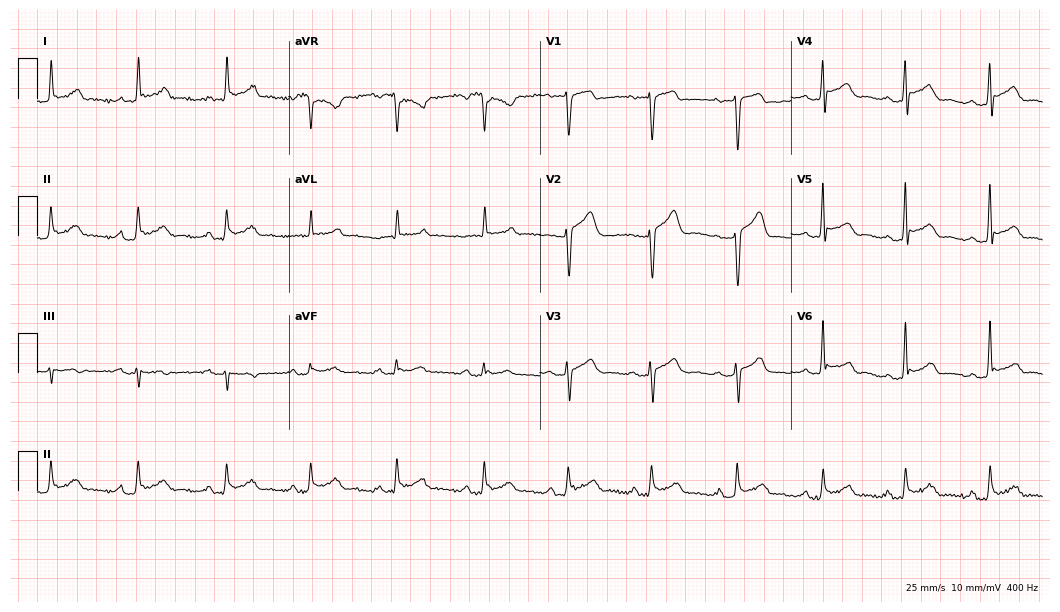
12-lead ECG from a 66-year-old woman (10.2-second recording at 400 Hz). No first-degree AV block, right bundle branch block, left bundle branch block, sinus bradycardia, atrial fibrillation or sinus tachycardia recorded for this tracing. Other findings, if any, are not listed.